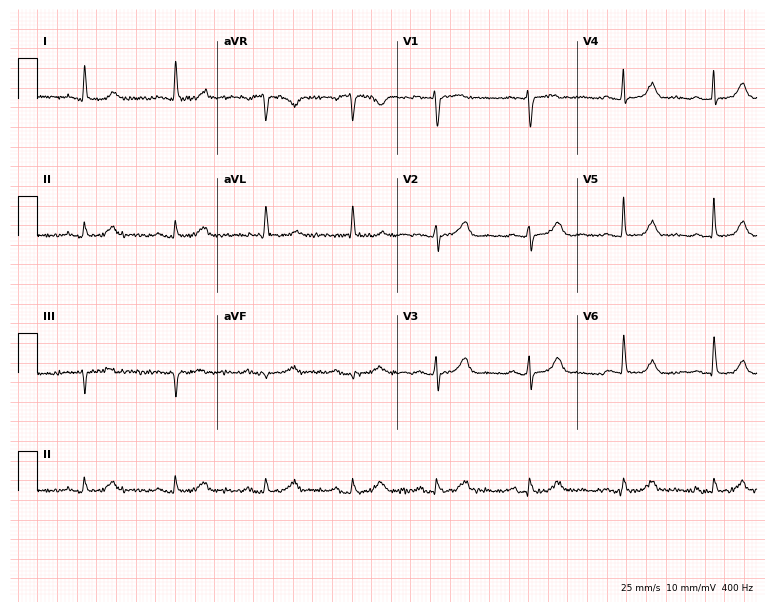
12-lead ECG from a 78-year-old female patient (7.3-second recording at 400 Hz). Recorded interpretation: within normal limits.